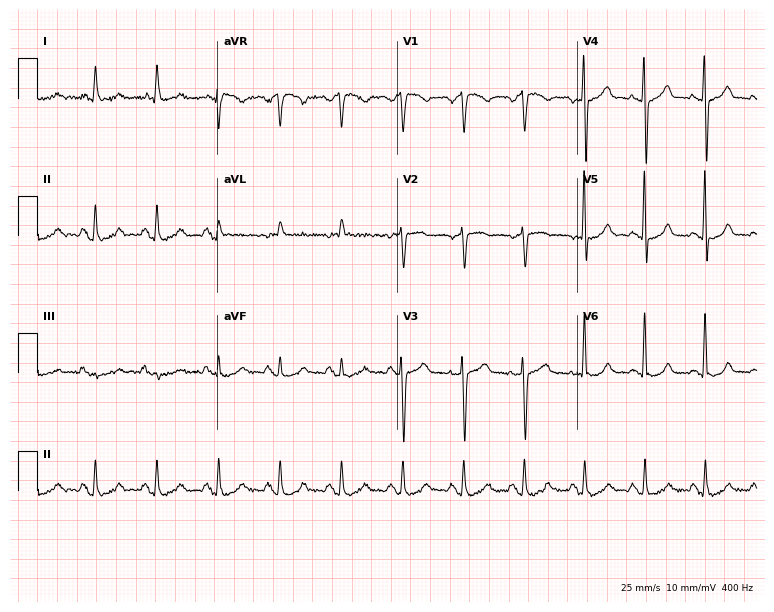
Electrocardiogram, a 72-year-old male patient. Overall reading on record: normal ECG.